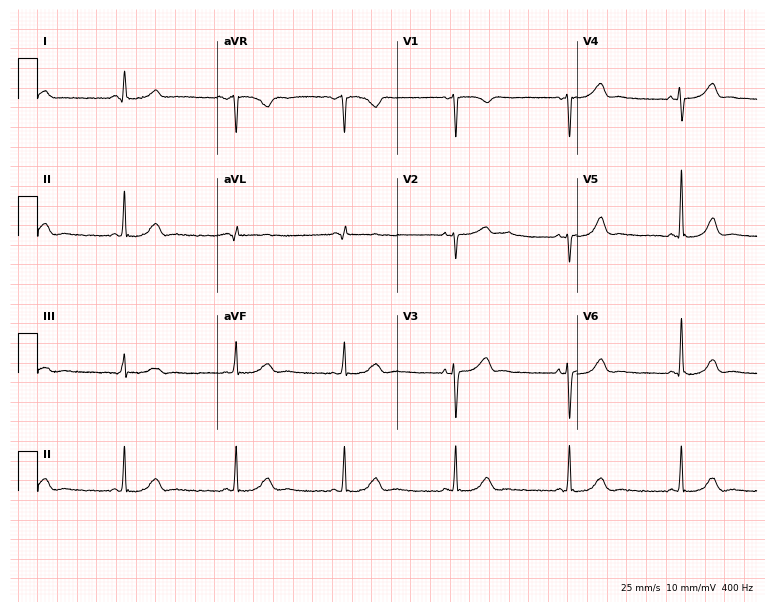
ECG — a female patient, 50 years old. Screened for six findings — first-degree AV block, right bundle branch block (RBBB), left bundle branch block (LBBB), sinus bradycardia, atrial fibrillation (AF), sinus tachycardia — none is recorded. Other findings, if any, are not listed.